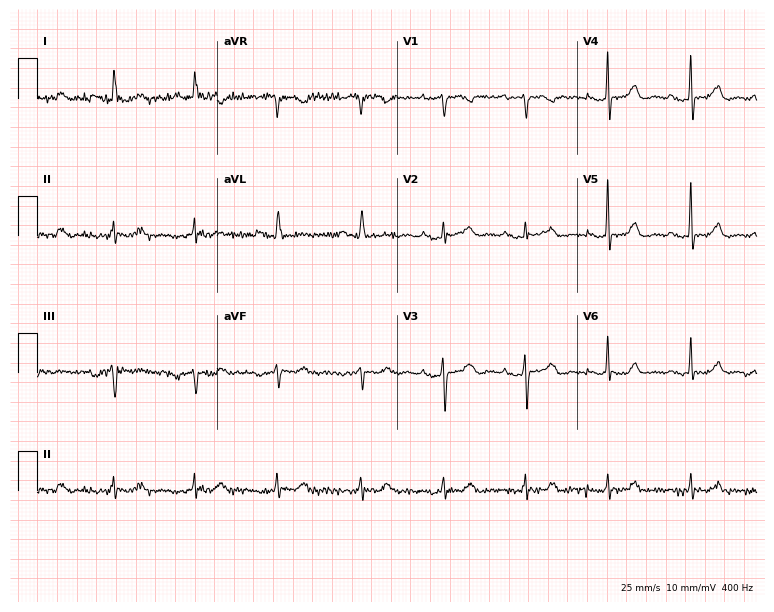
Standard 12-lead ECG recorded from a female patient, 82 years old (7.3-second recording at 400 Hz). None of these six findings is recorded: first-degree AV block, right bundle branch block (RBBB), left bundle branch block (LBBB), sinus bradycardia, atrial fibrillation (AF), sinus tachycardia.